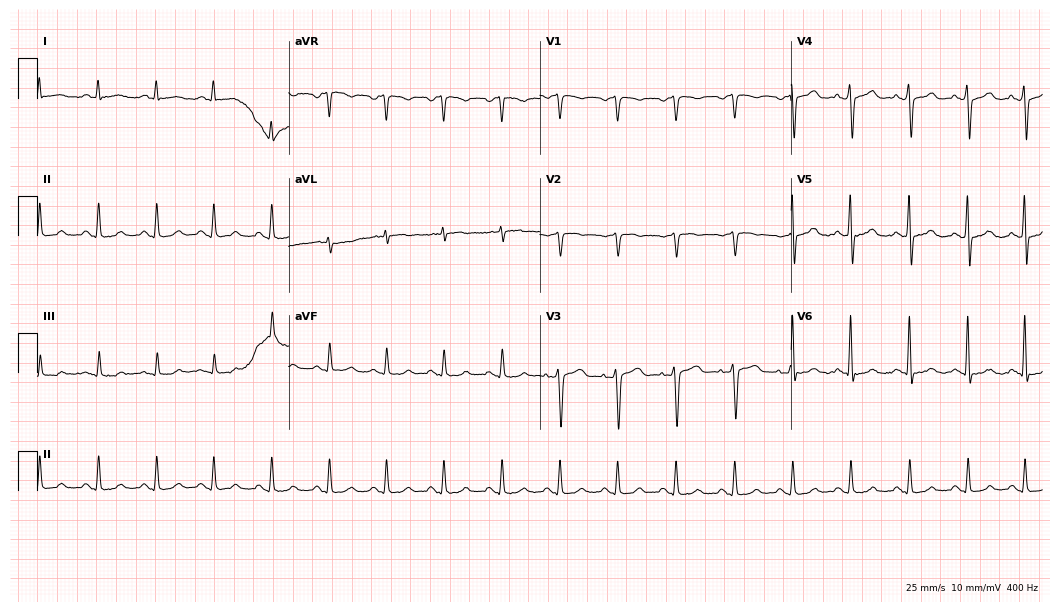
Standard 12-lead ECG recorded from a man, 49 years old. The tracing shows sinus tachycardia (a sinus rate of 100 beats per minute or more).